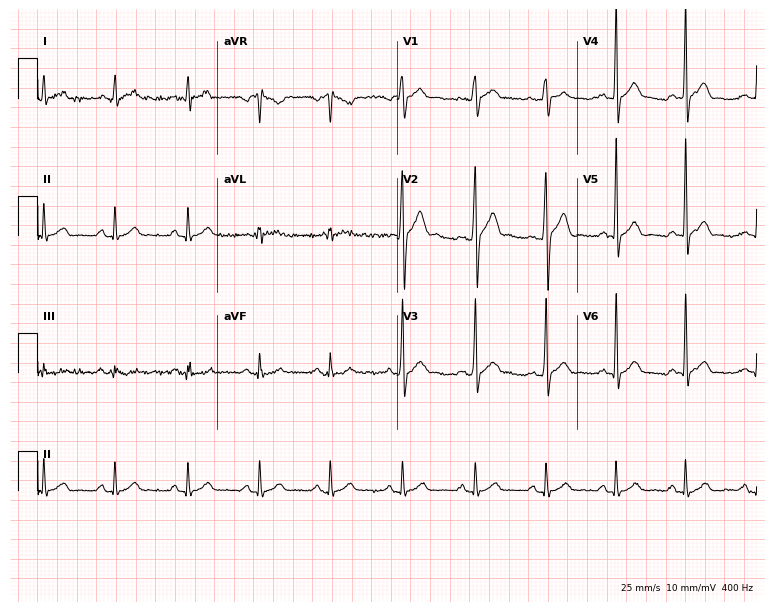
12-lead ECG from a male patient, 24 years old (7.3-second recording at 400 Hz). Recorded interpretation: within normal limits.